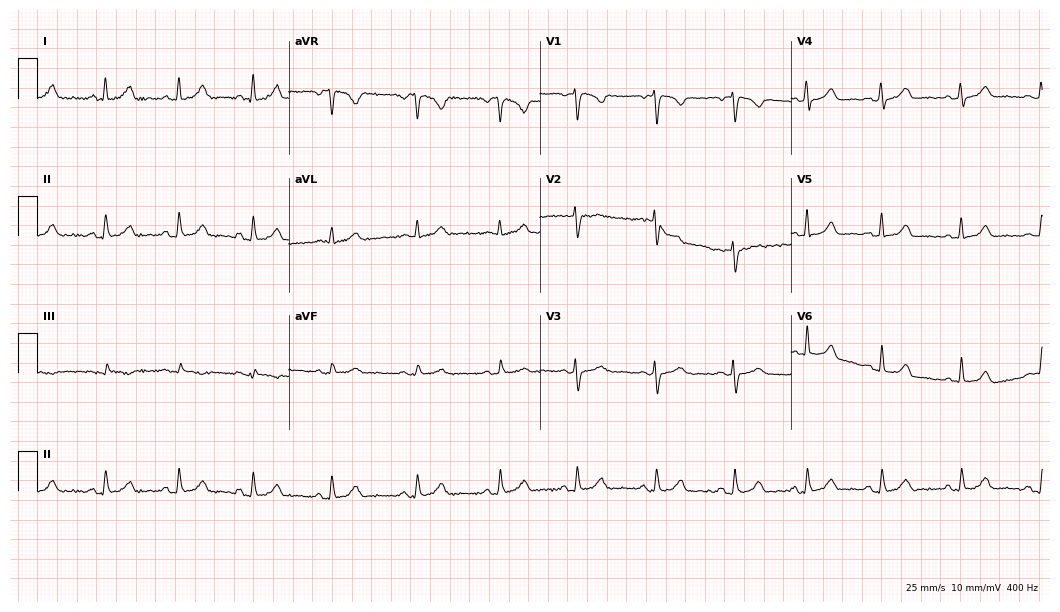
12-lead ECG from a 28-year-old female patient. Recorded interpretation: within normal limits.